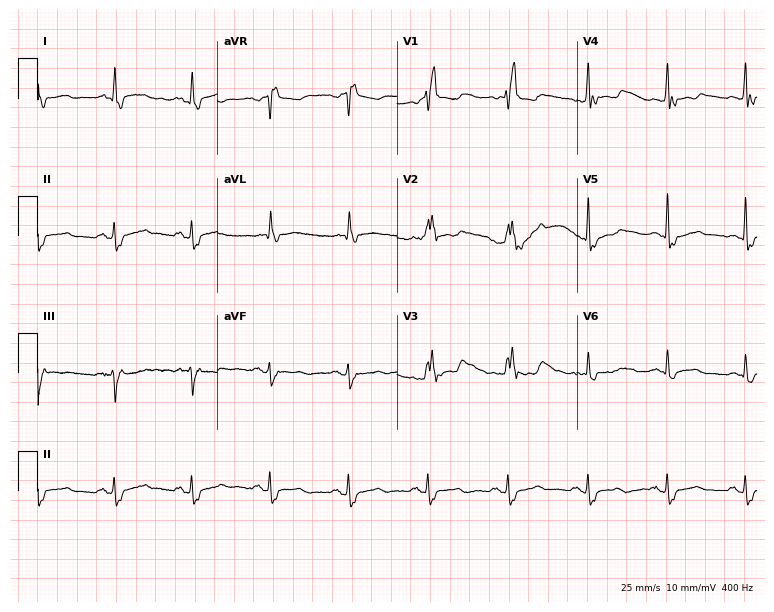
12-lead ECG from a male patient, 77 years old. Findings include right bundle branch block.